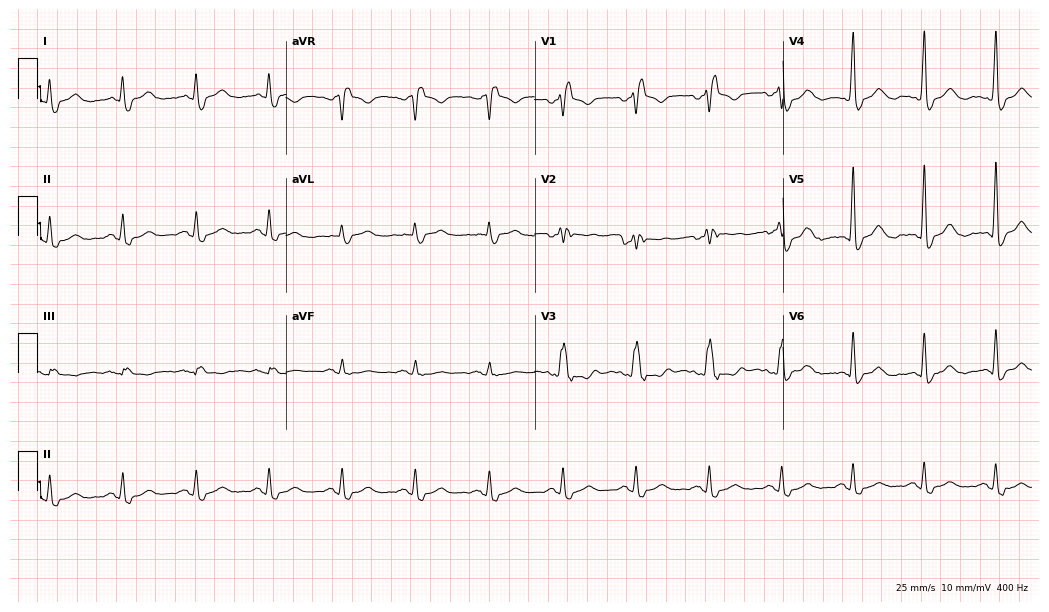
12-lead ECG from a 51-year-old male. No first-degree AV block, right bundle branch block, left bundle branch block, sinus bradycardia, atrial fibrillation or sinus tachycardia recorded for this tracing.